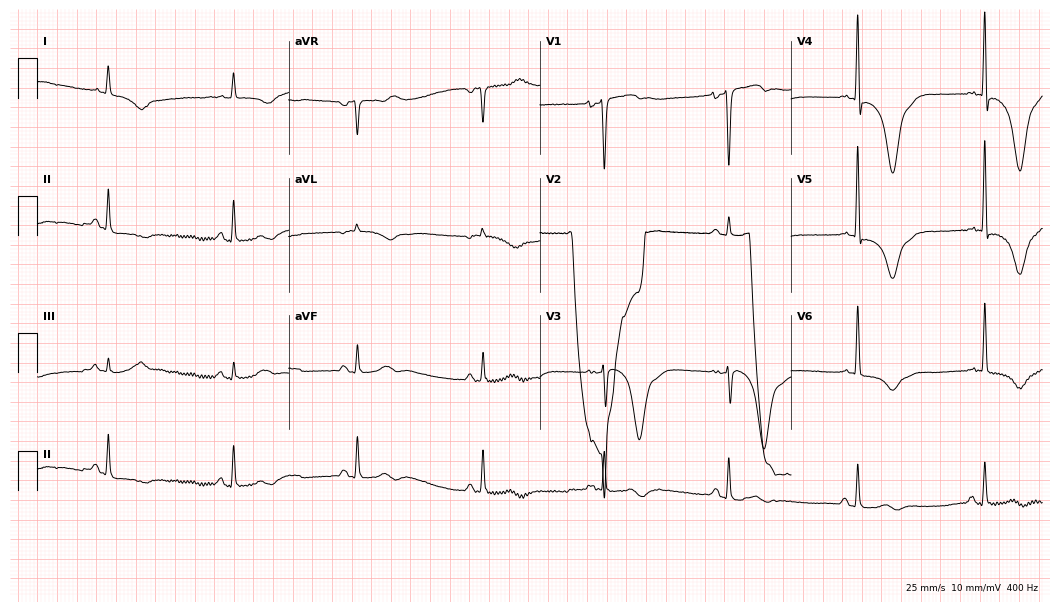
12-lead ECG (10.2-second recording at 400 Hz) from a male, 74 years old. Screened for six findings — first-degree AV block, right bundle branch block, left bundle branch block, sinus bradycardia, atrial fibrillation, sinus tachycardia — none is recorded. Findings outside these six are not listed.